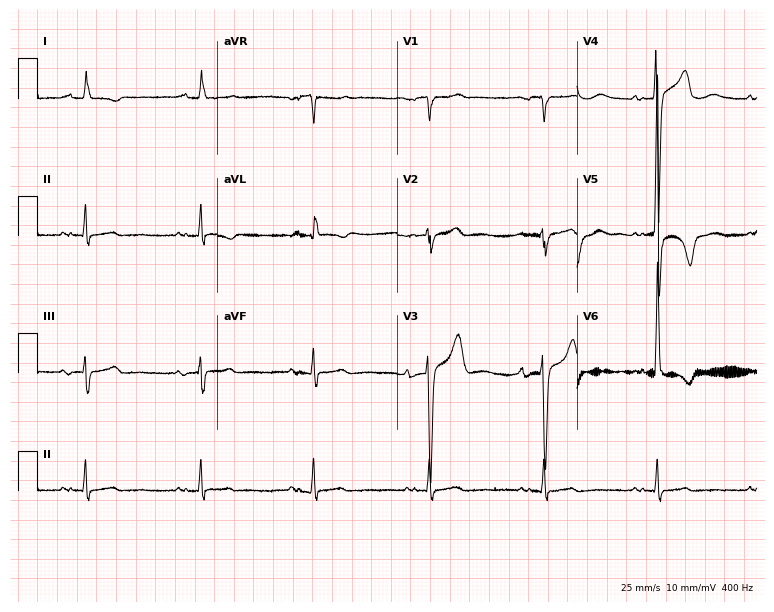
12-lead ECG from a 72-year-old male patient (7.3-second recording at 400 Hz). Shows first-degree AV block.